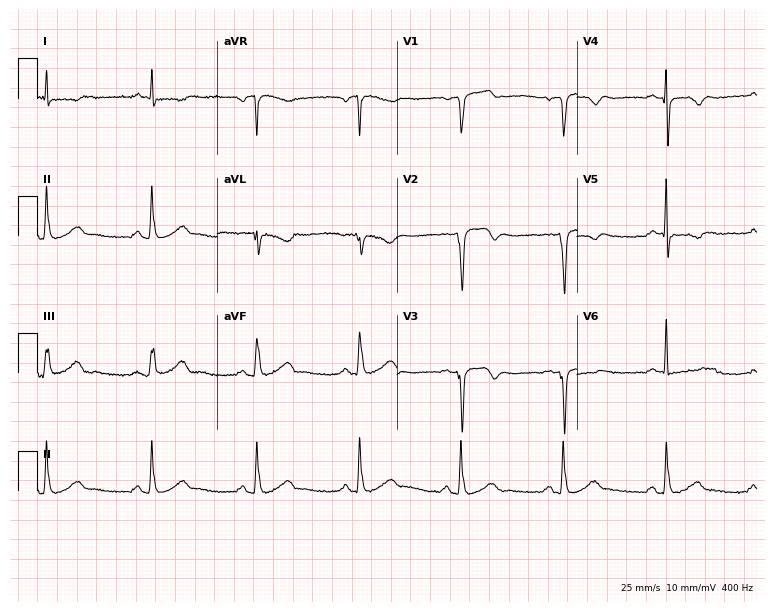
12-lead ECG from a male patient, 56 years old. No first-degree AV block, right bundle branch block, left bundle branch block, sinus bradycardia, atrial fibrillation or sinus tachycardia recorded for this tracing.